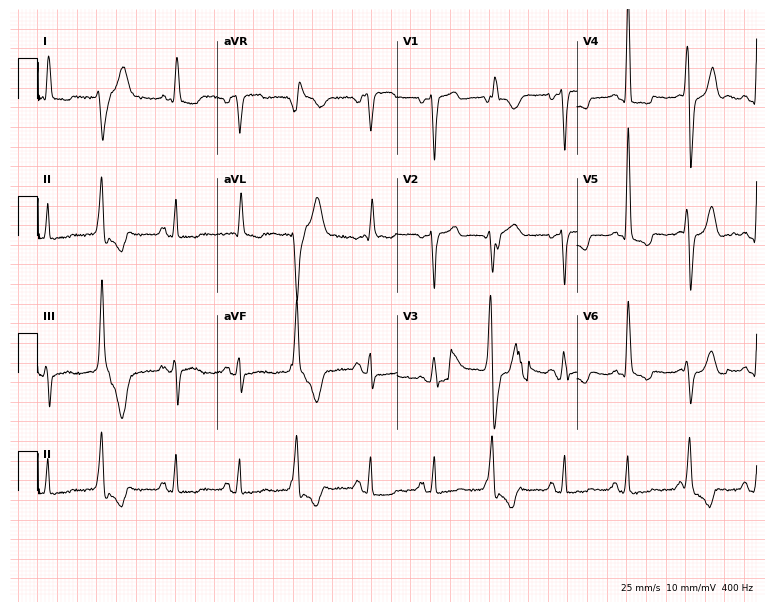
Electrocardiogram, a female patient, 59 years old. Of the six screened findings (first-degree AV block, right bundle branch block, left bundle branch block, sinus bradycardia, atrial fibrillation, sinus tachycardia), none is recorded.